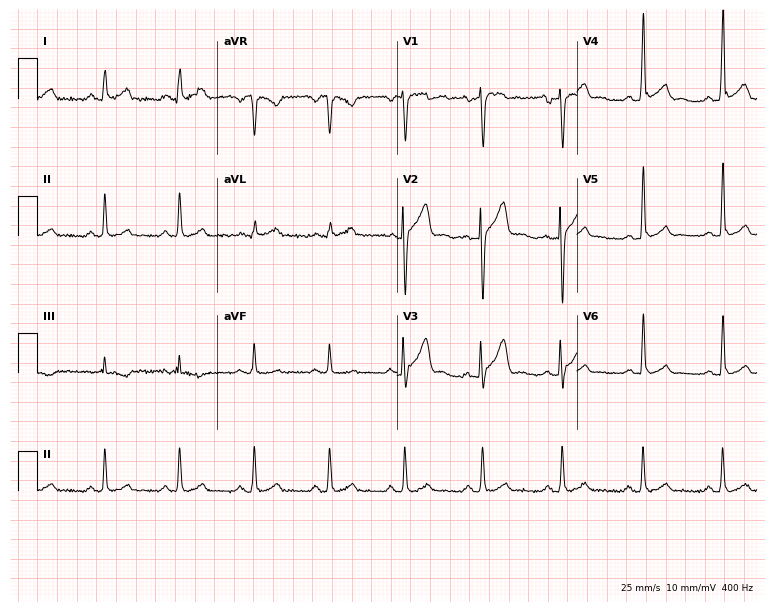
12-lead ECG from a man, 31 years old. Labelled as a normal ECG.